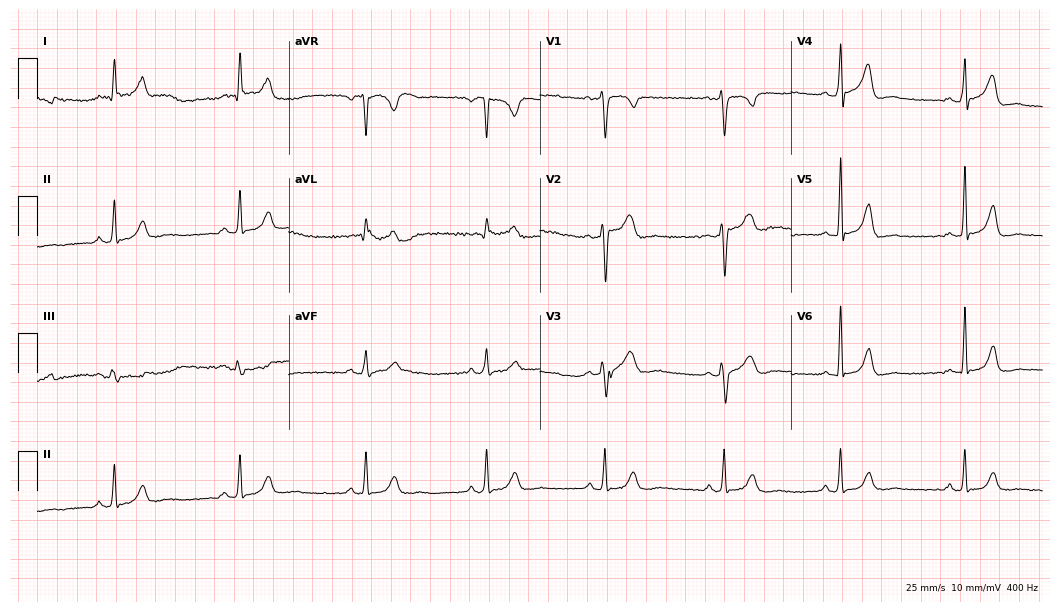
12-lead ECG from a 45-year-old male. Shows sinus bradycardia (a sinus rate of 50 beats per minute or less).